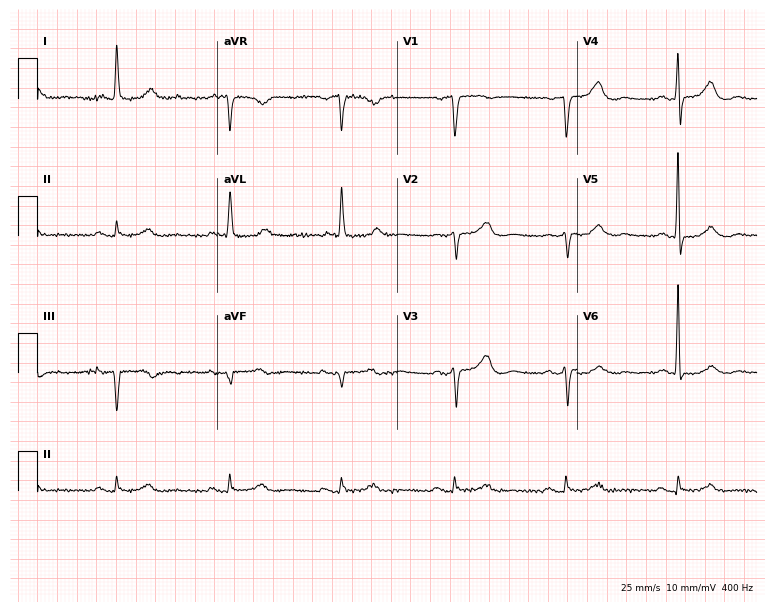
Standard 12-lead ECG recorded from an 81-year-old woman. Read as a normal ECG.